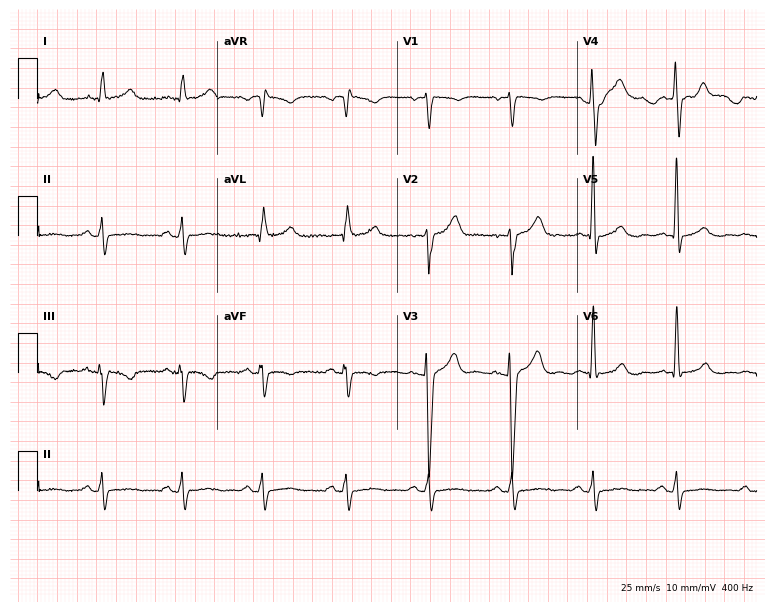
Resting 12-lead electrocardiogram. Patient: a 51-year-old man. None of these six findings is recorded: first-degree AV block, right bundle branch block, left bundle branch block, sinus bradycardia, atrial fibrillation, sinus tachycardia.